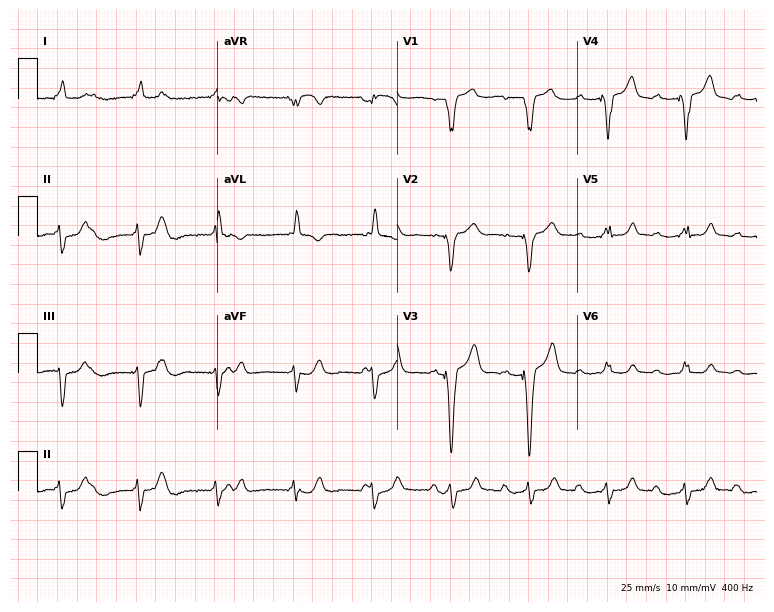
Electrocardiogram (7.3-second recording at 400 Hz), a 58-year-old female. Of the six screened findings (first-degree AV block, right bundle branch block, left bundle branch block, sinus bradycardia, atrial fibrillation, sinus tachycardia), none is recorded.